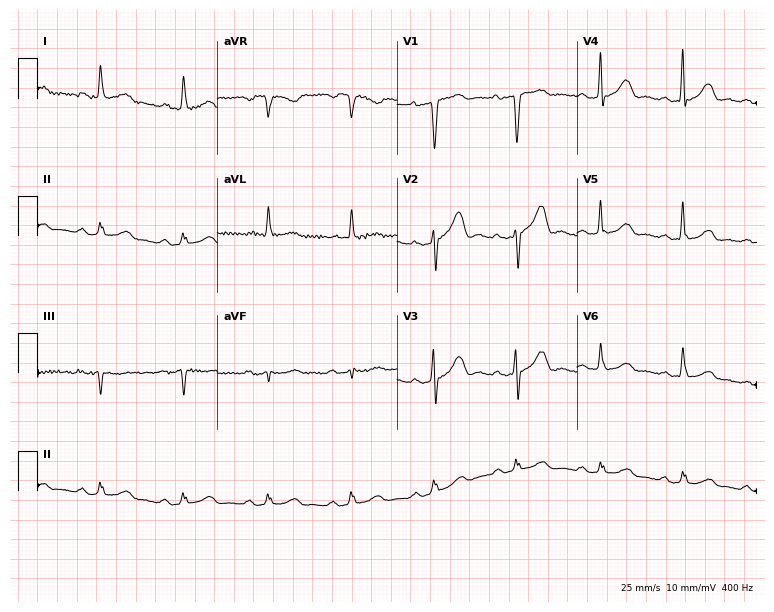
Electrocardiogram, a 79-year-old woman. Interpretation includes first-degree AV block.